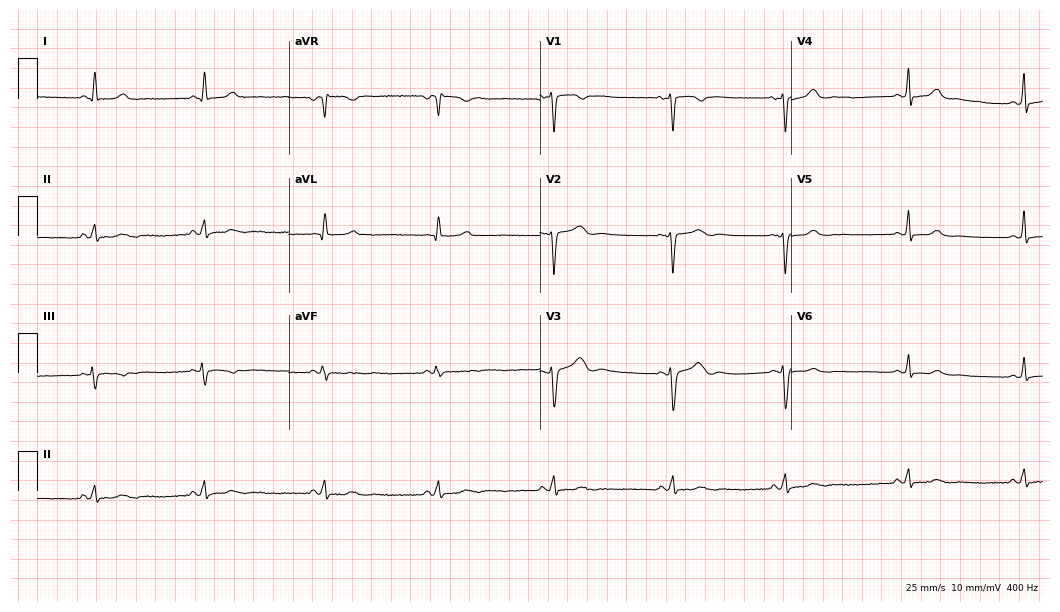
Resting 12-lead electrocardiogram. Patient: a female, 42 years old. None of these six findings is recorded: first-degree AV block, right bundle branch block, left bundle branch block, sinus bradycardia, atrial fibrillation, sinus tachycardia.